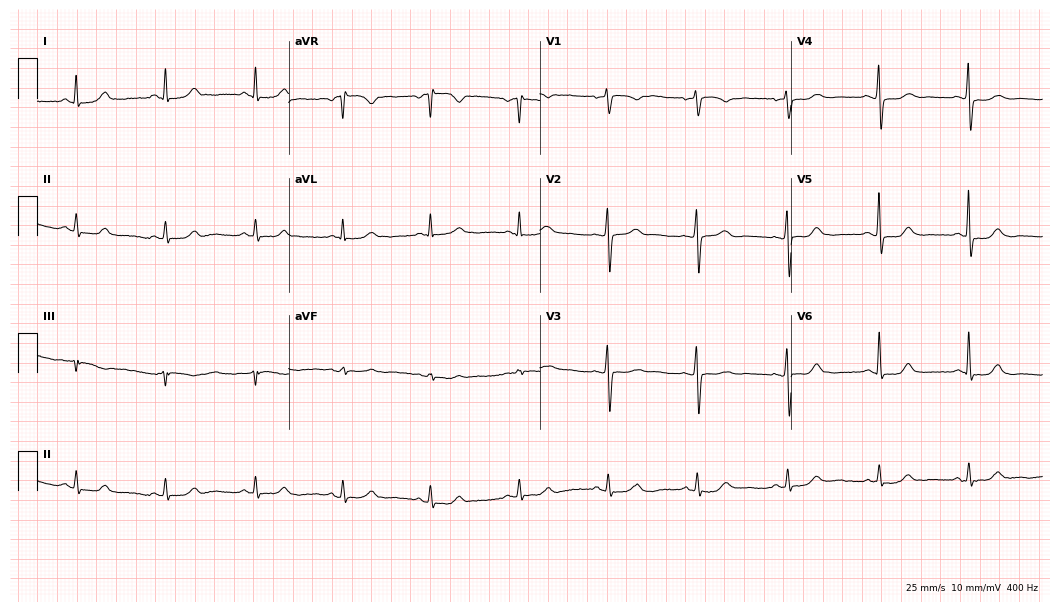
12-lead ECG from a 54-year-old woman. Recorded interpretation: within normal limits.